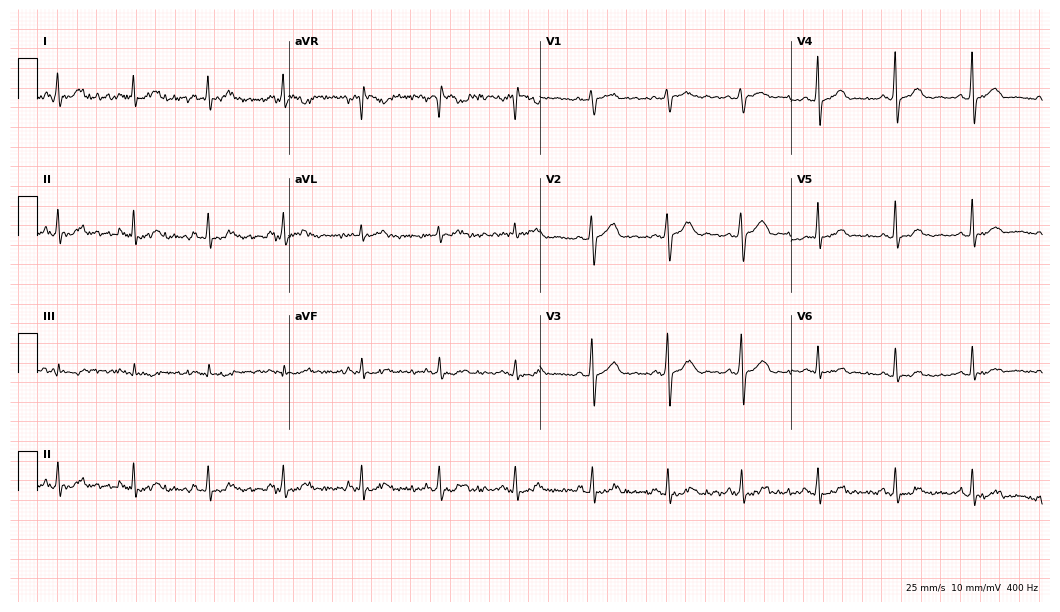
Standard 12-lead ECG recorded from a woman, 34 years old. Read as a normal ECG.